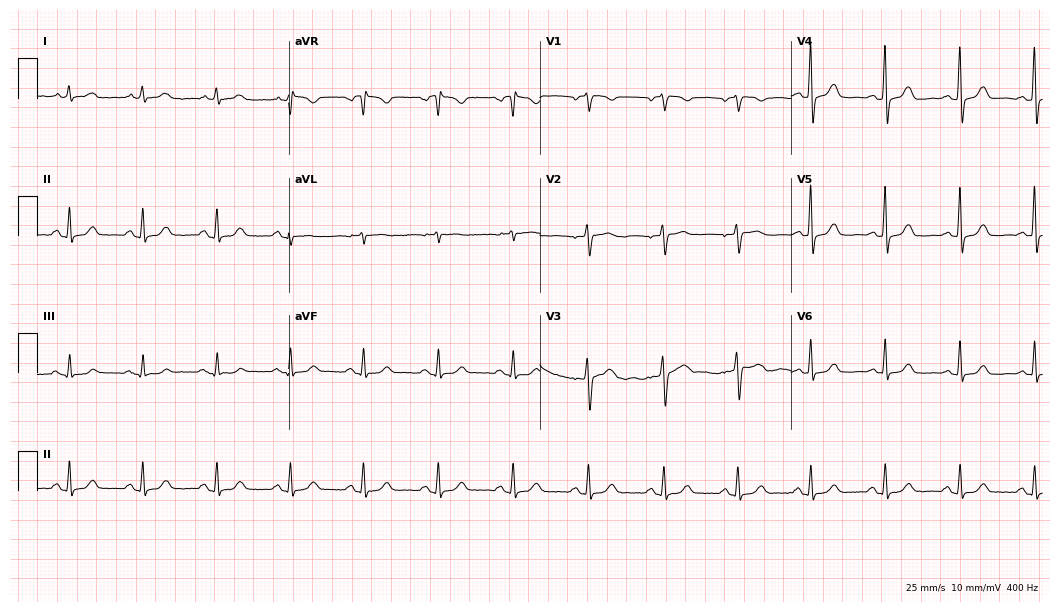
12-lead ECG from a 59-year-old woman (10.2-second recording at 400 Hz). Recorded interpretation: within normal limits.